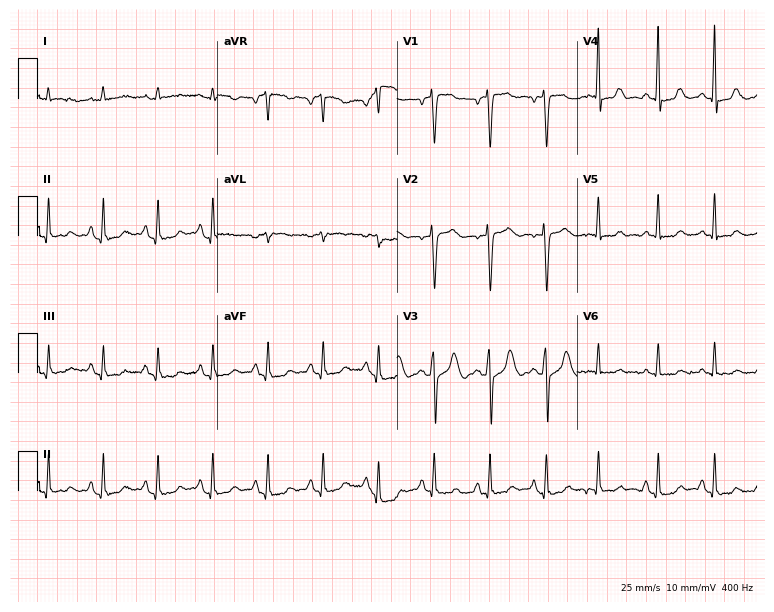
Resting 12-lead electrocardiogram. Patient: a female, 80 years old. None of these six findings is recorded: first-degree AV block, right bundle branch block, left bundle branch block, sinus bradycardia, atrial fibrillation, sinus tachycardia. Findings outside these six are not listed.